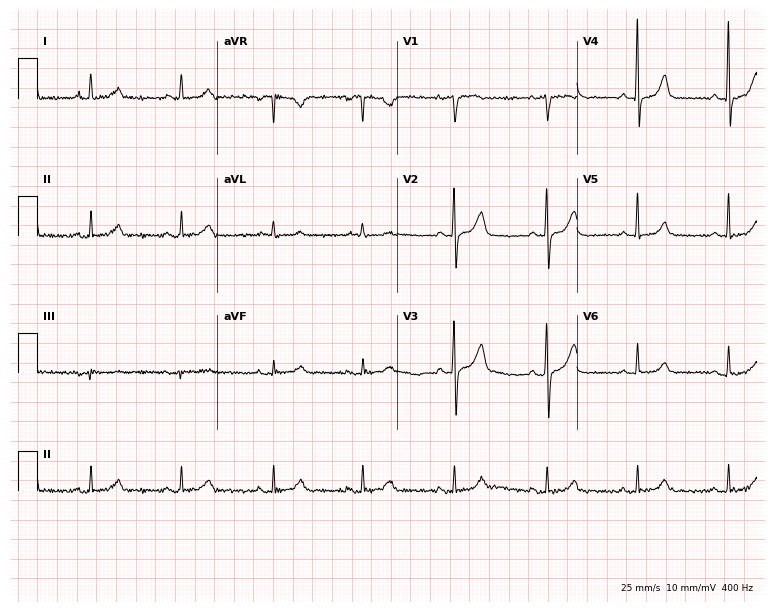
12-lead ECG from a 50-year-old female (7.3-second recording at 400 Hz). Recorded interpretation: within normal limits.